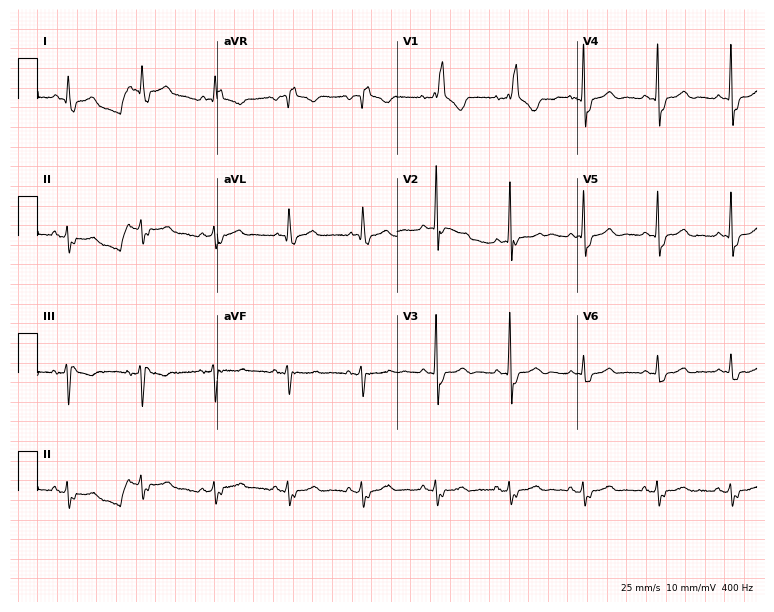
12-lead ECG from a 75-year-old male. Shows right bundle branch block.